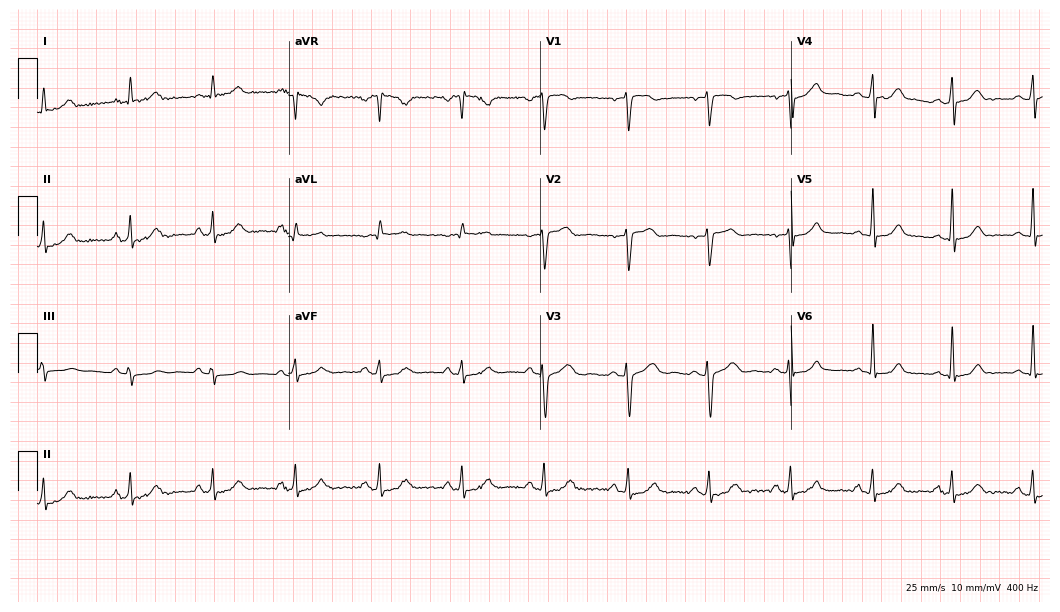
ECG — a 43-year-old female. Labelled as a normal ECG.